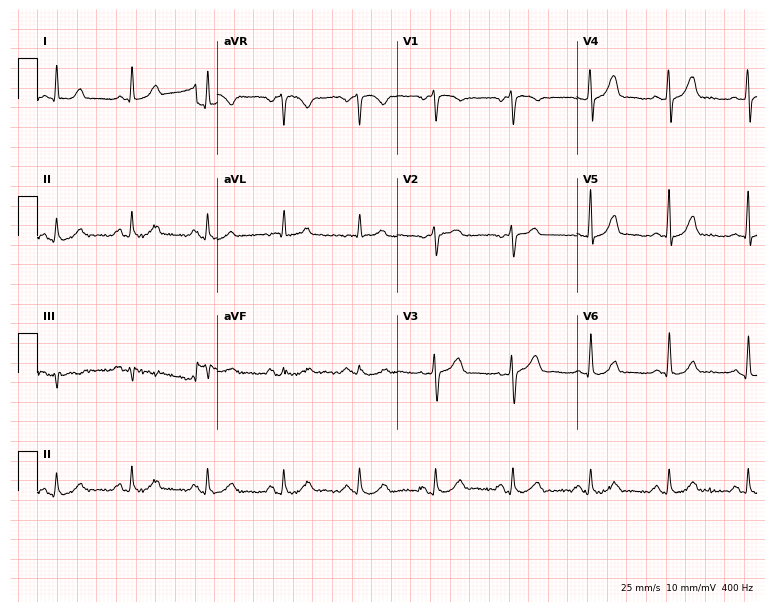
Resting 12-lead electrocardiogram (7.3-second recording at 400 Hz). Patient: a 58-year-old man. Read as a normal ECG.